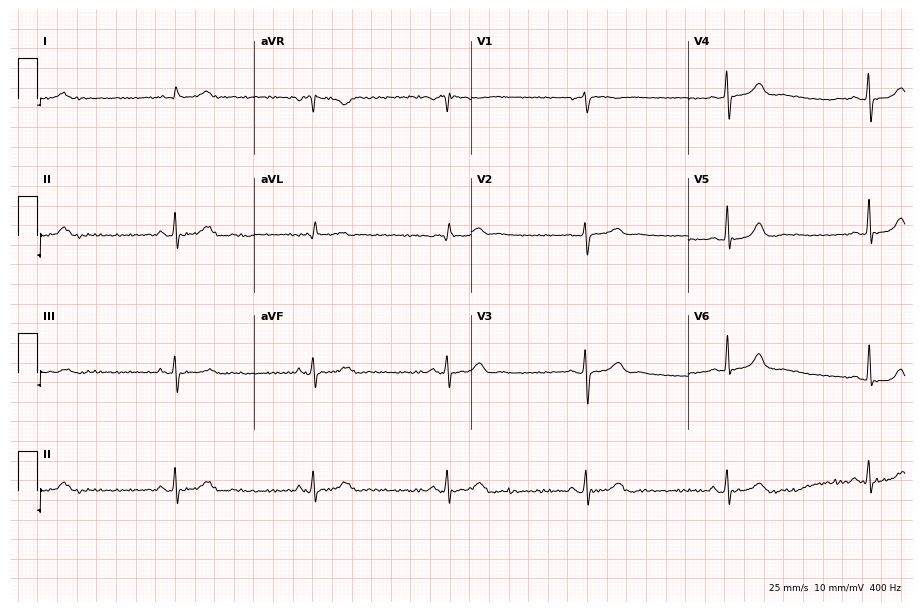
Resting 12-lead electrocardiogram. Patient: a man, 45 years old. None of these six findings is recorded: first-degree AV block, right bundle branch block, left bundle branch block, sinus bradycardia, atrial fibrillation, sinus tachycardia. Other findings, if any, are not listed.